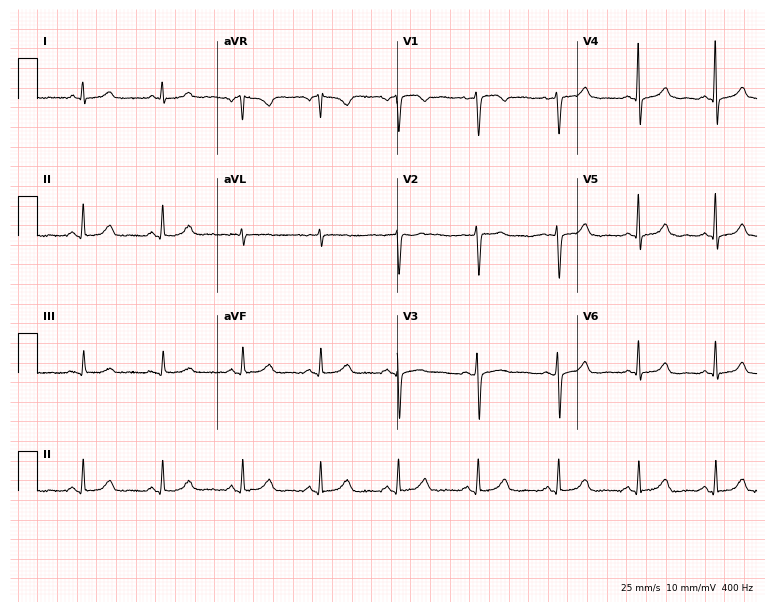
12-lead ECG from a female patient, 46 years old (7.3-second recording at 400 Hz). Recorded interpretation: within normal limits.